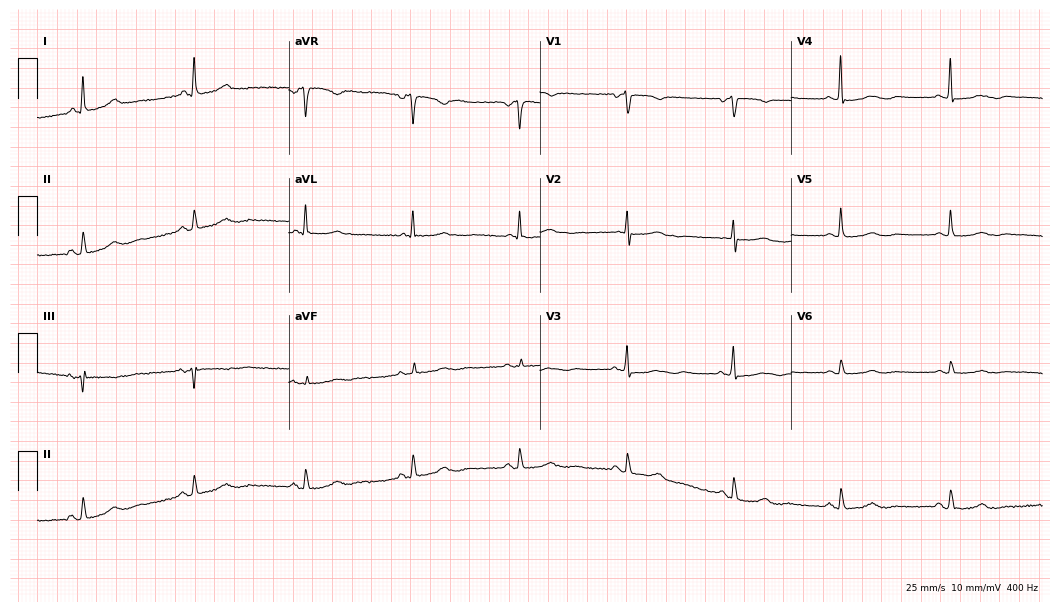
Electrocardiogram (10.2-second recording at 400 Hz), a woman, 73 years old. Of the six screened findings (first-degree AV block, right bundle branch block, left bundle branch block, sinus bradycardia, atrial fibrillation, sinus tachycardia), none is recorded.